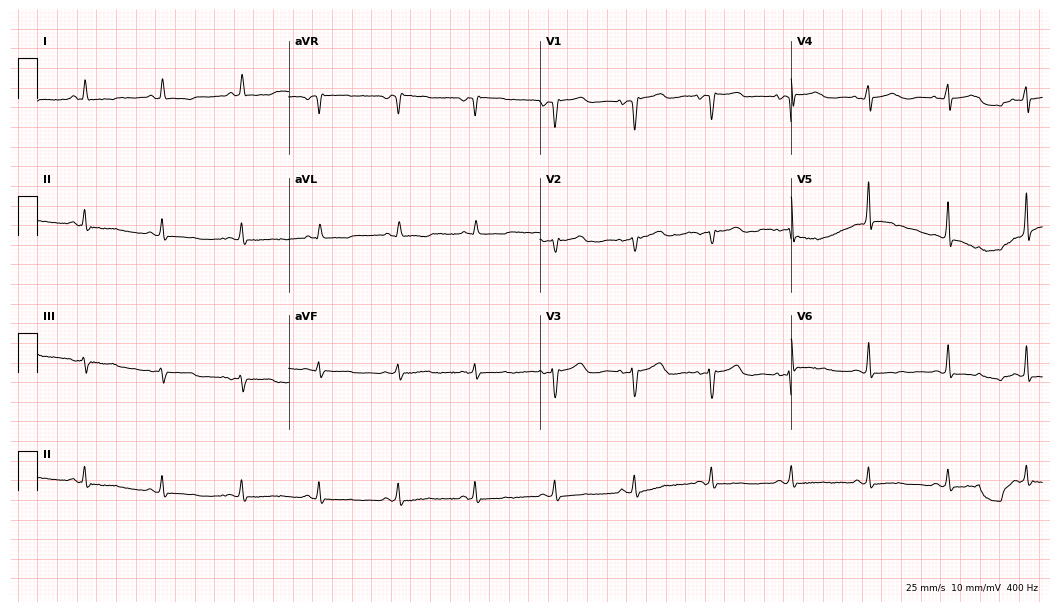
Standard 12-lead ECG recorded from a 79-year-old female (10.2-second recording at 400 Hz). None of these six findings is recorded: first-degree AV block, right bundle branch block, left bundle branch block, sinus bradycardia, atrial fibrillation, sinus tachycardia. Findings outside these six are not listed.